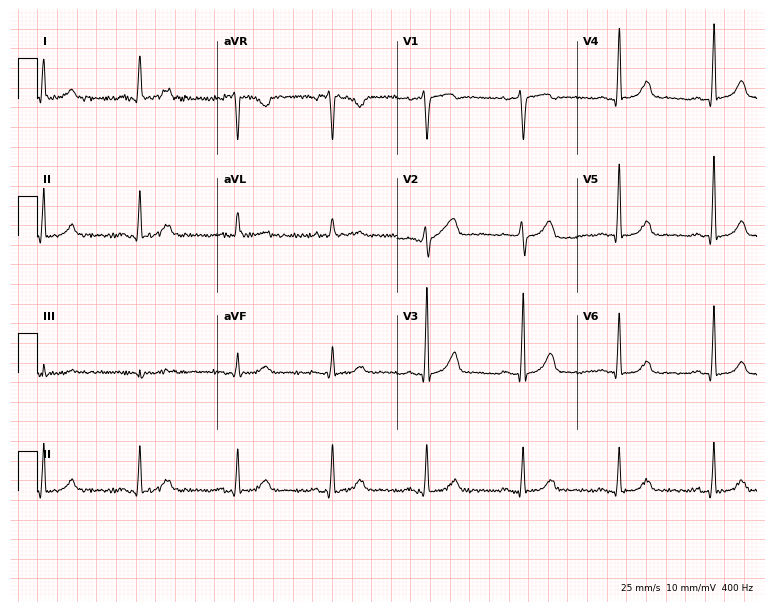
12-lead ECG from a male patient, 62 years old (7.3-second recording at 400 Hz). Recorded interpretation: within normal limits.